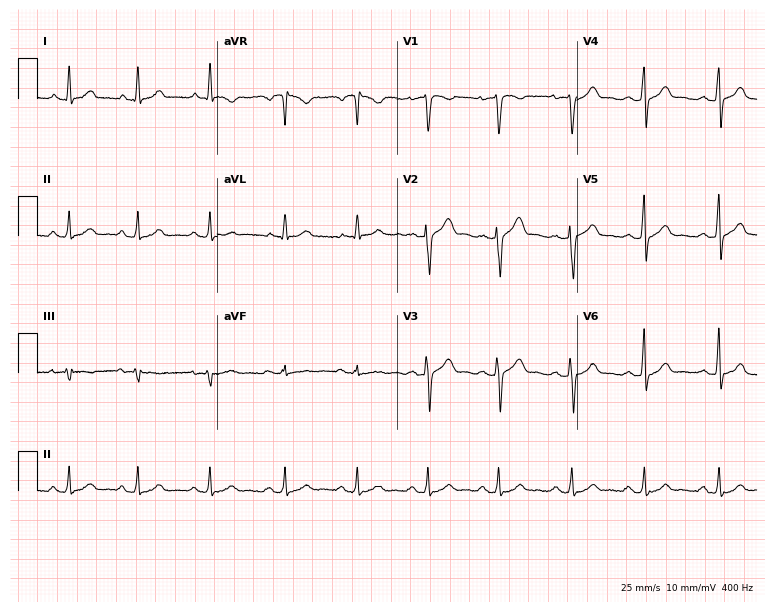
ECG (7.3-second recording at 400 Hz) — a 29-year-old male patient. Labelled as a normal ECG.